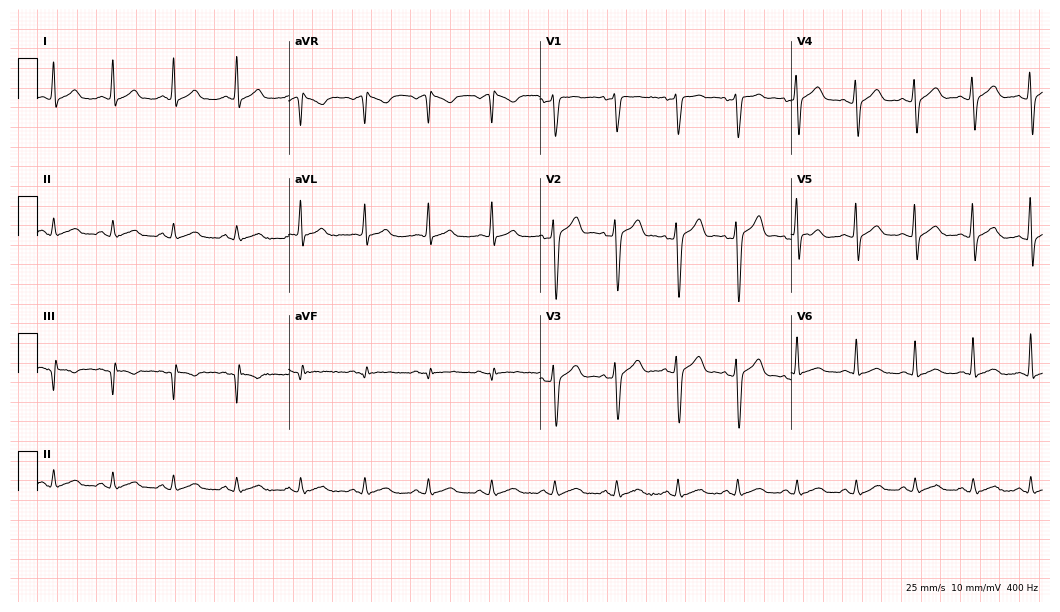
Electrocardiogram (10.2-second recording at 400 Hz), a 35-year-old male patient. Overall reading on record: normal ECG.